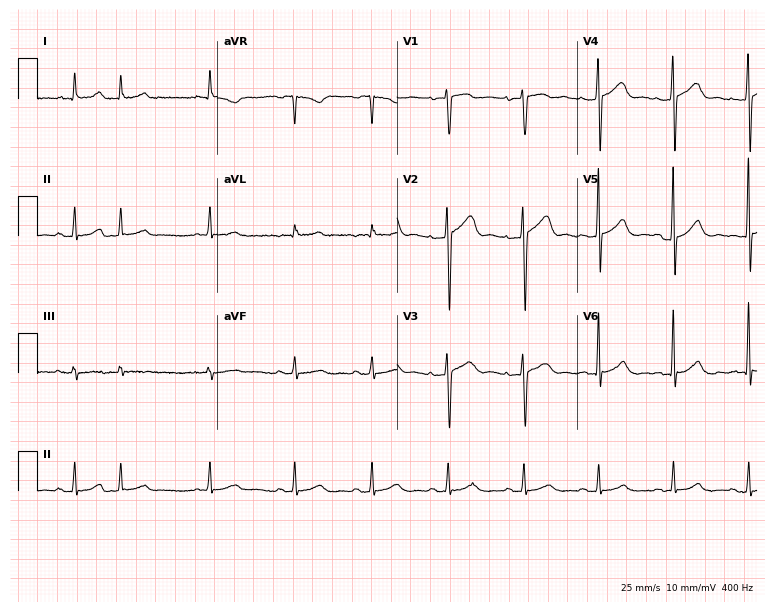
Resting 12-lead electrocardiogram. Patient: a male, 82 years old. None of these six findings is recorded: first-degree AV block, right bundle branch block, left bundle branch block, sinus bradycardia, atrial fibrillation, sinus tachycardia. Findings outside these six are not listed.